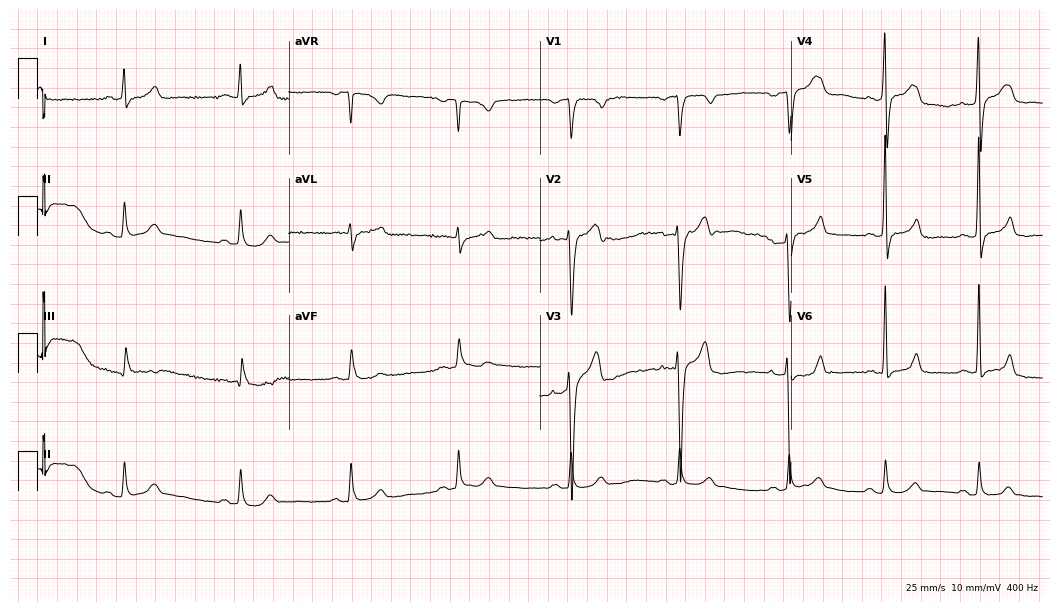
Resting 12-lead electrocardiogram. Patient: a man, 50 years old. None of these six findings is recorded: first-degree AV block, right bundle branch block, left bundle branch block, sinus bradycardia, atrial fibrillation, sinus tachycardia.